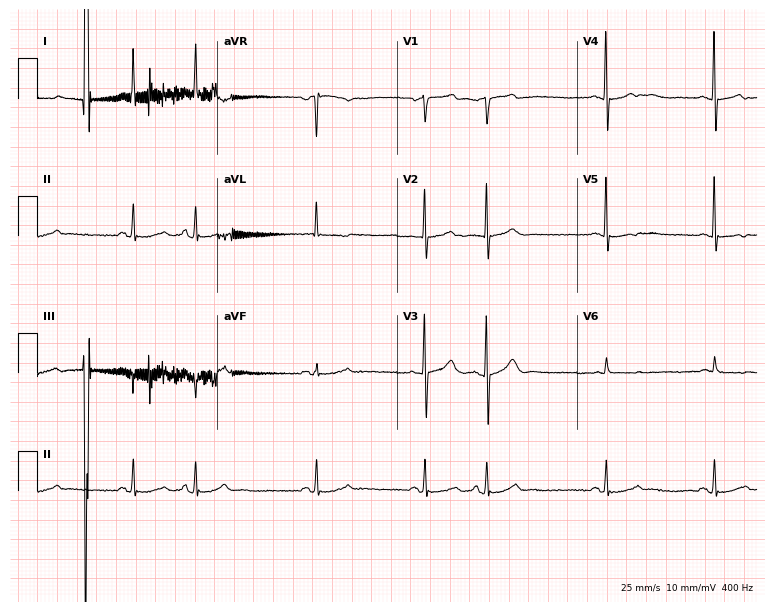
Resting 12-lead electrocardiogram (7.3-second recording at 400 Hz). Patient: a male, 70 years old. None of these six findings is recorded: first-degree AV block, right bundle branch block, left bundle branch block, sinus bradycardia, atrial fibrillation, sinus tachycardia.